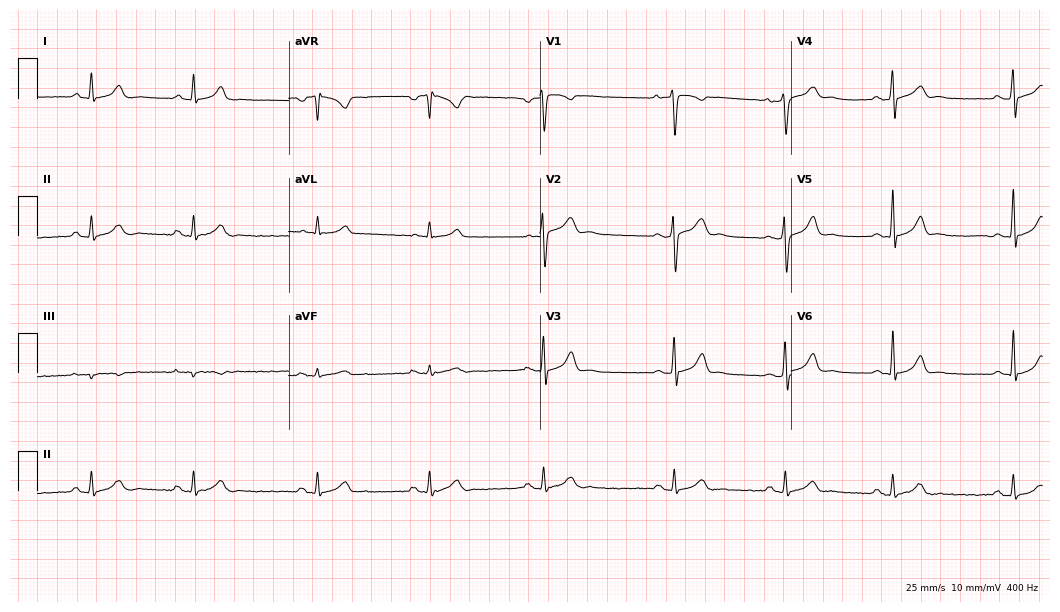
12-lead ECG from a male patient, 28 years old. Screened for six findings — first-degree AV block, right bundle branch block (RBBB), left bundle branch block (LBBB), sinus bradycardia, atrial fibrillation (AF), sinus tachycardia — none is recorded. Findings outside these six are not listed.